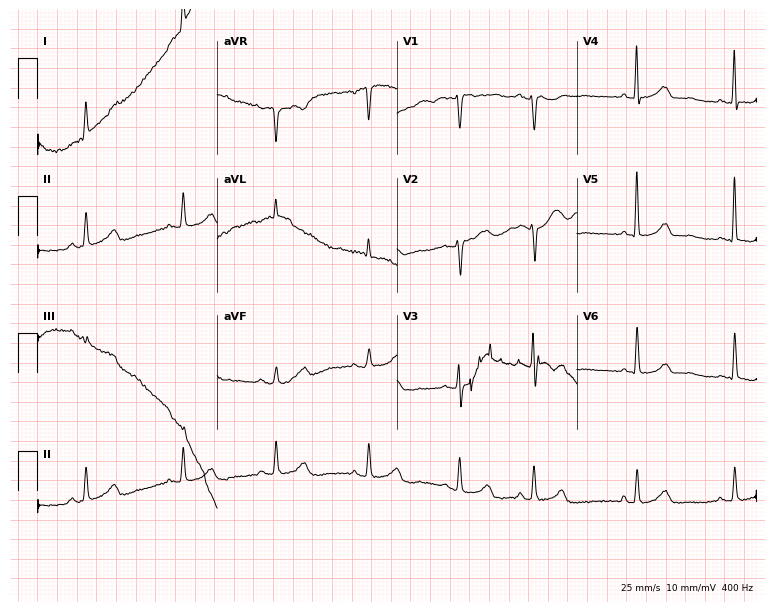
12-lead ECG from a 78-year-old female. No first-degree AV block, right bundle branch block, left bundle branch block, sinus bradycardia, atrial fibrillation or sinus tachycardia recorded for this tracing. Only these six findings were labelled.